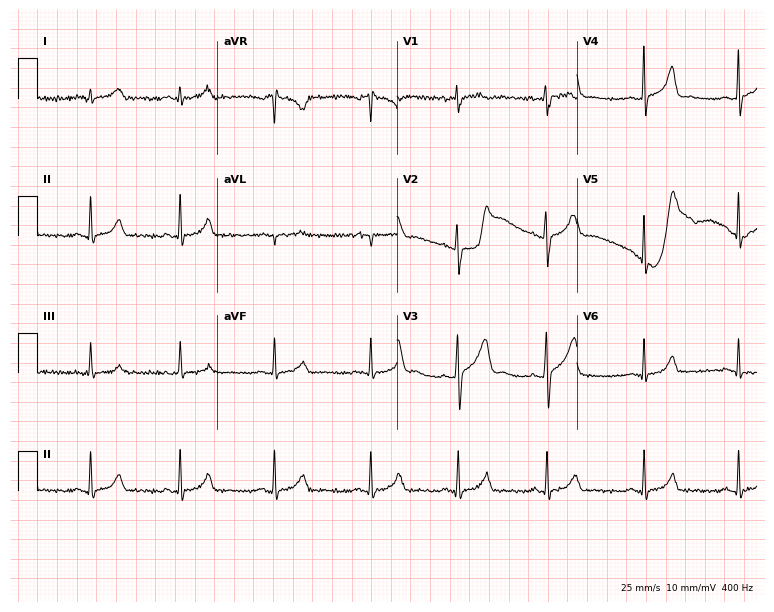
ECG — a 20-year-old woman. Screened for six findings — first-degree AV block, right bundle branch block (RBBB), left bundle branch block (LBBB), sinus bradycardia, atrial fibrillation (AF), sinus tachycardia — none is recorded. Only these six findings were labelled.